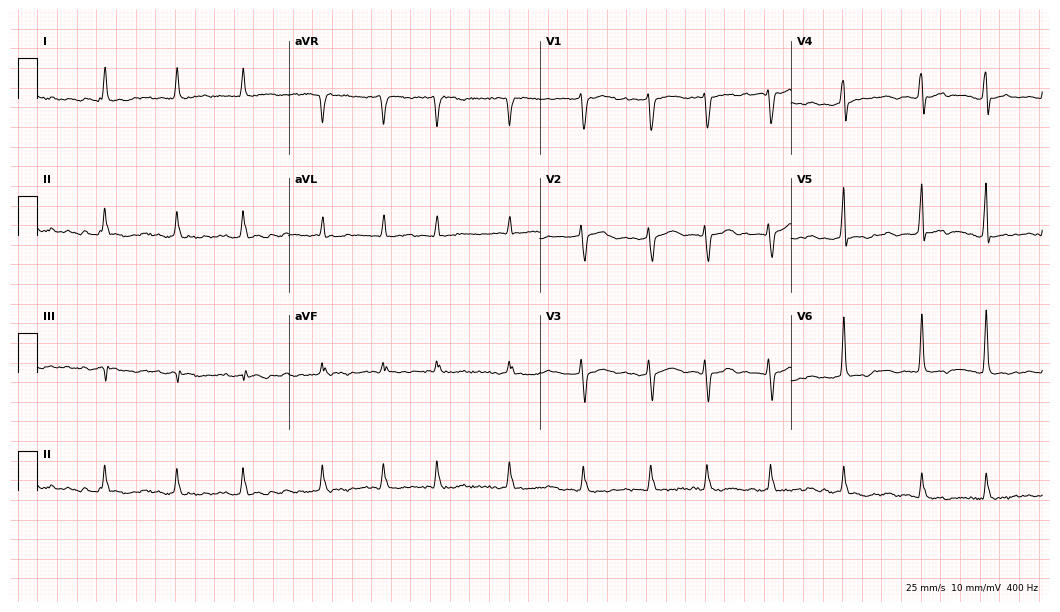
12-lead ECG from a 64-year-old man (10.2-second recording at 400 Hz). Shows atrial fibrillation.